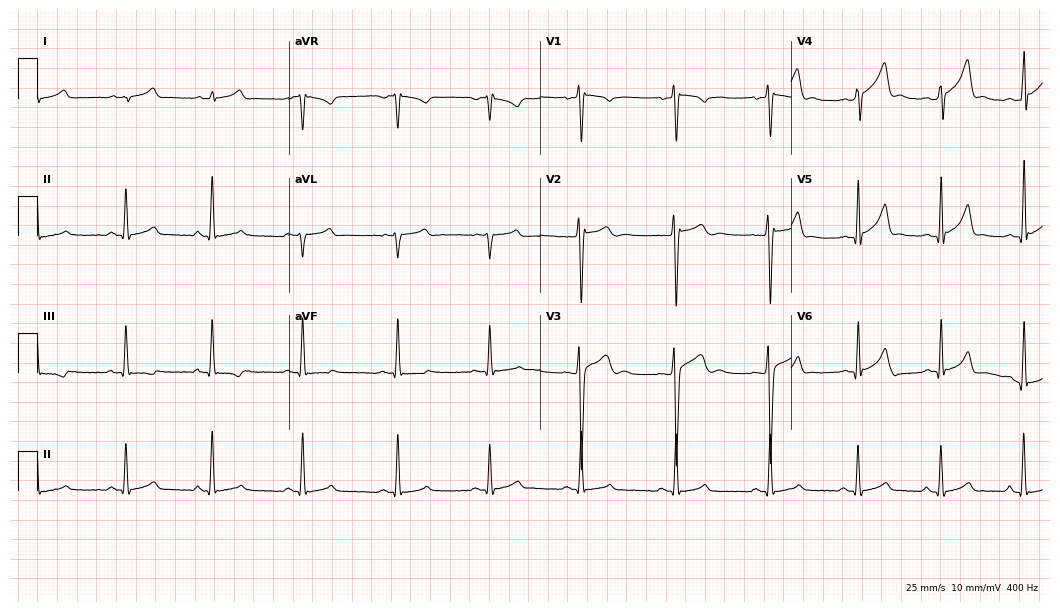
Standard 12-lead ECG recorded from a 17-year-old male patient. Read as a normal ECG.